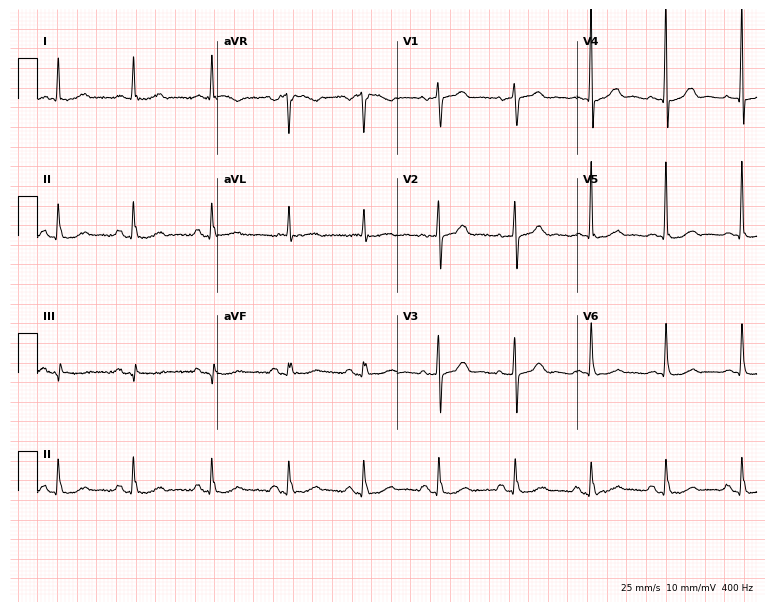
12-lead ECG (7.3-second recording at 400 Hz) from a female, 81 years old. Screened for six findings — first-degree AV block, right bundle branch block, left bundle branch block, sinus bradycardia, atrial fibrillation, sinus tachycardia — none is recorded.